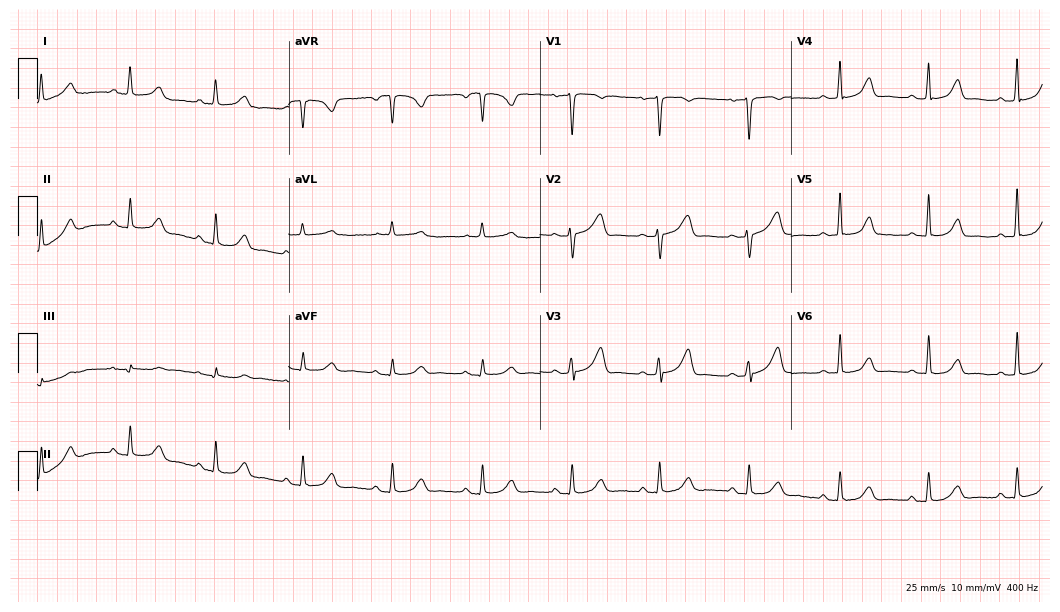
ECG — a 57-year-old female. Labelled as a normal ECG.